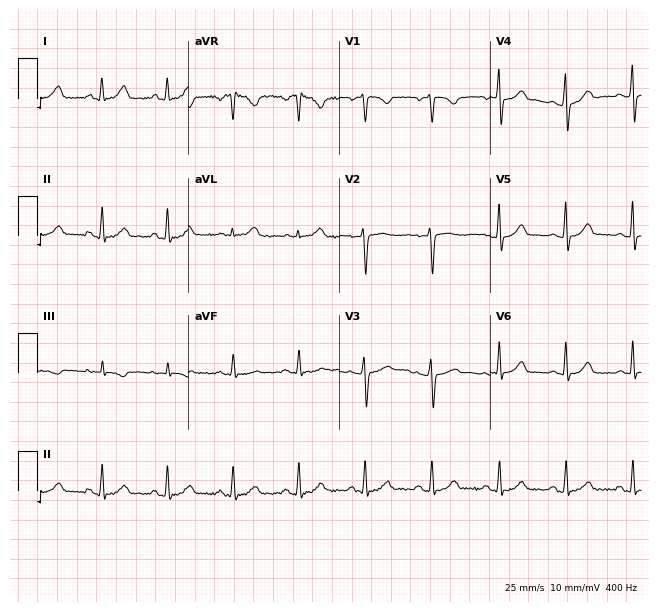
ECG (6.2-second recording at 400 Hz) — a female patient, 47 years old. Labelled as a normal ECG.